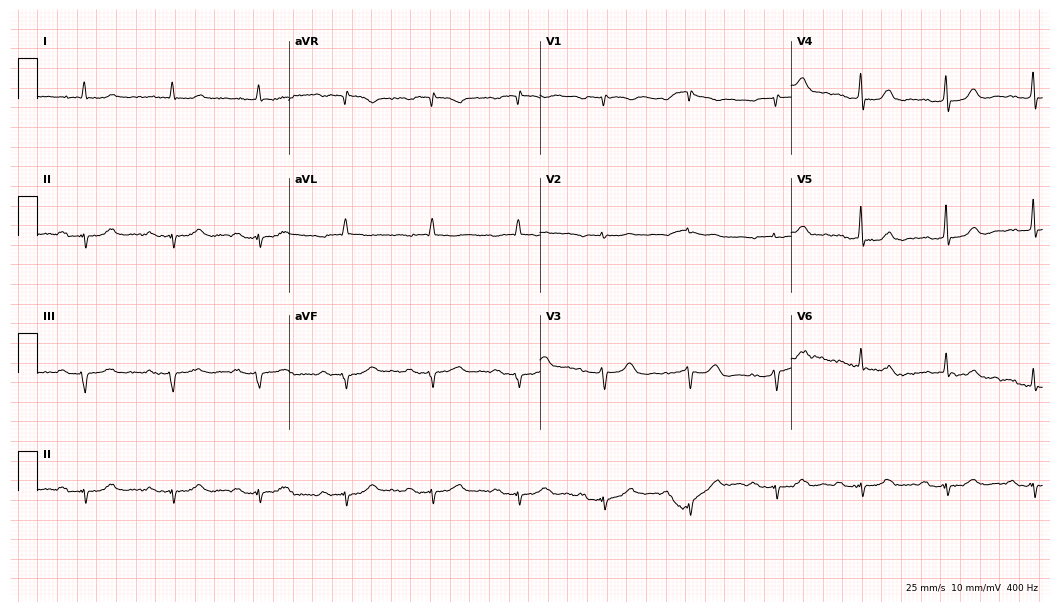
ECG — an 85-year-old male patient. Screened for six findings — first-degree AV block, right bundle branch block, left bundle branch block, sinus bradycardia, atrial fibrillation, sinus tachycardia — none is recorded. Other findings, if any, are not listed.